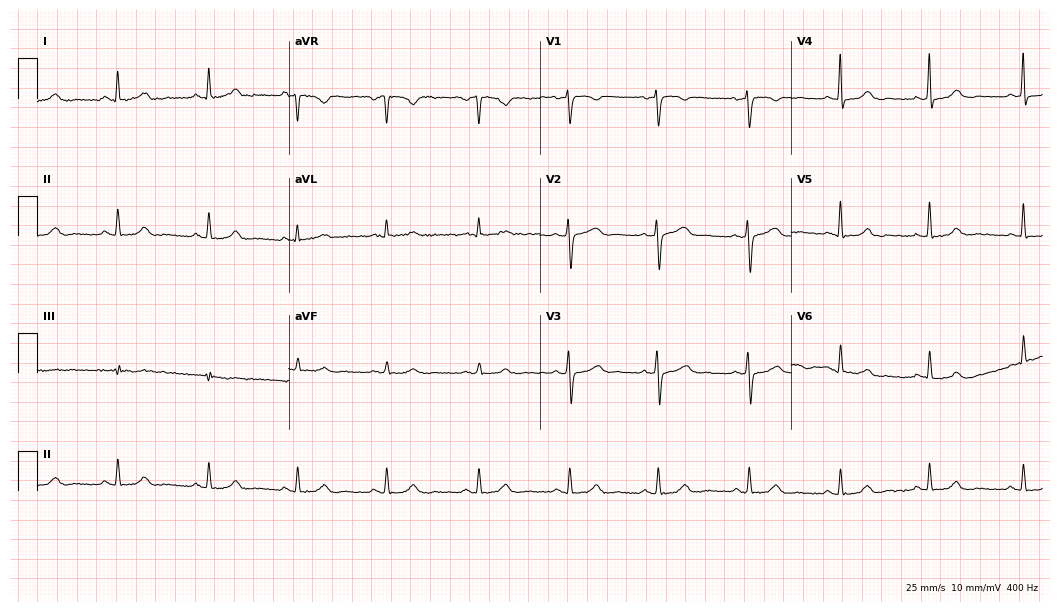
12-lead ECG (10.2-second recording at 400 Hz) from a 40-year-old female patient. Labelled as a normal ECG.